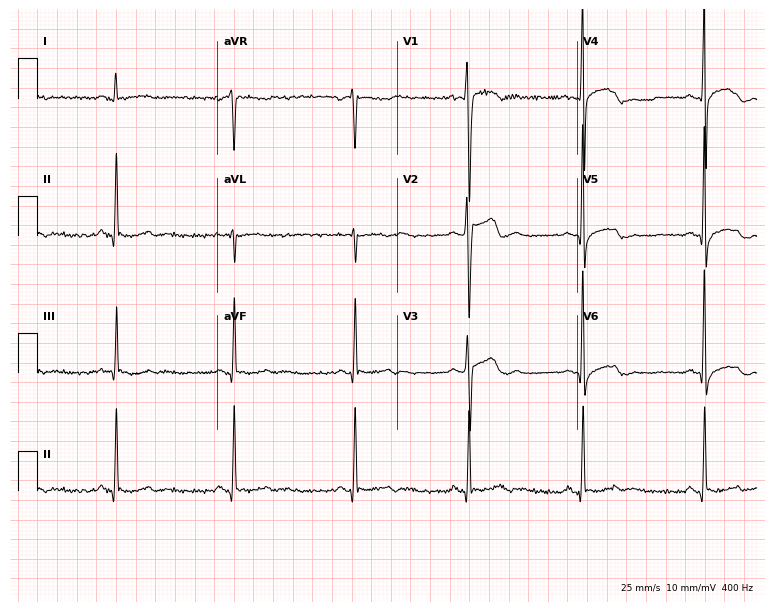
12-lead ECG (7.3-second recording at 400 Hz) from a 27-year-old male patient. Screened for six findings — first-degree AV block, right bundle branch block, left bundle branch block, sinus bradycardia, atrial fibrillation, sinus tachycardia — none is recorded.